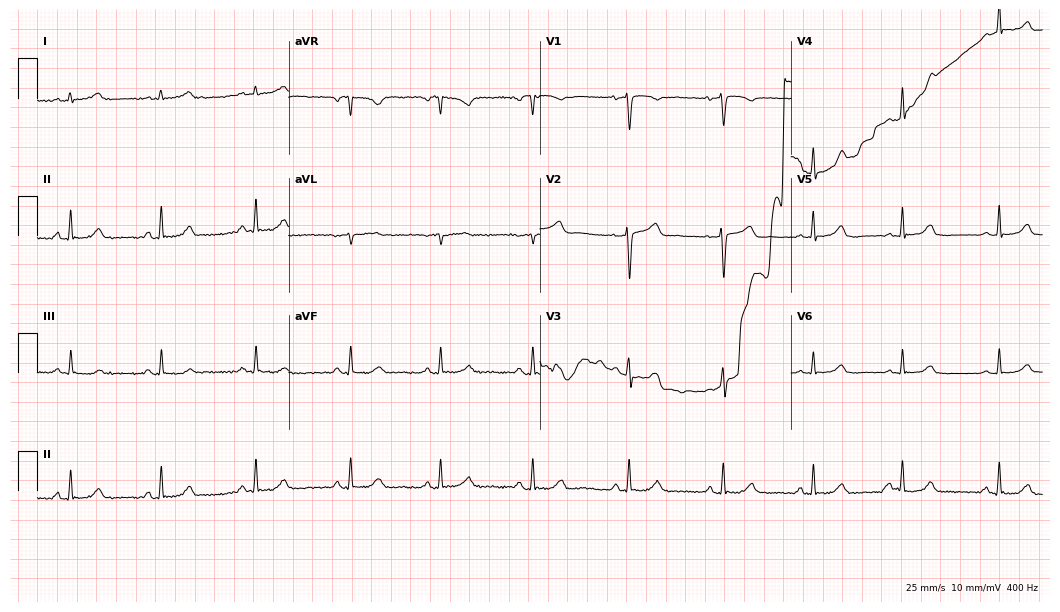
Resting 12-lead electrocardiogram (10.2-second recording at 400 Hz). Patient: a female, 54 years old. Read as a normal ECG.